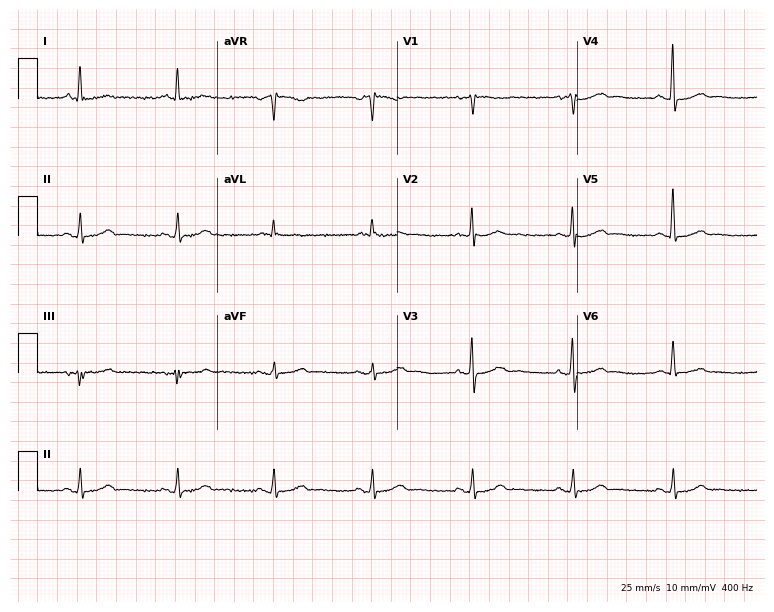
12-lead ECG from a 59-year-old man (7.3-second recording at 400 Hz). No first-degree AV block, right bundle branch block (RBBB), left bundle branch block (LBBB), sinus bradycardia, atrial fibrillation (AF) or sinus tachycardia recorded for this tracing.